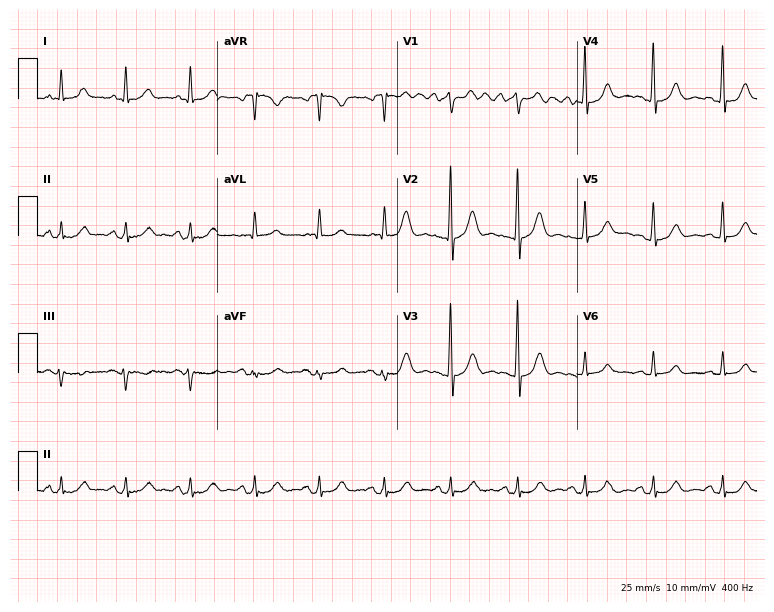
12-lead ECG from a man, 62 years old. Screened for six findings — first-degree AV block, right bundle branch block (RBBB), left bundle branch block (LBBB), sinus bradycardia, atrial fibrillation (AF), sinus tachycardia — none is recorded.